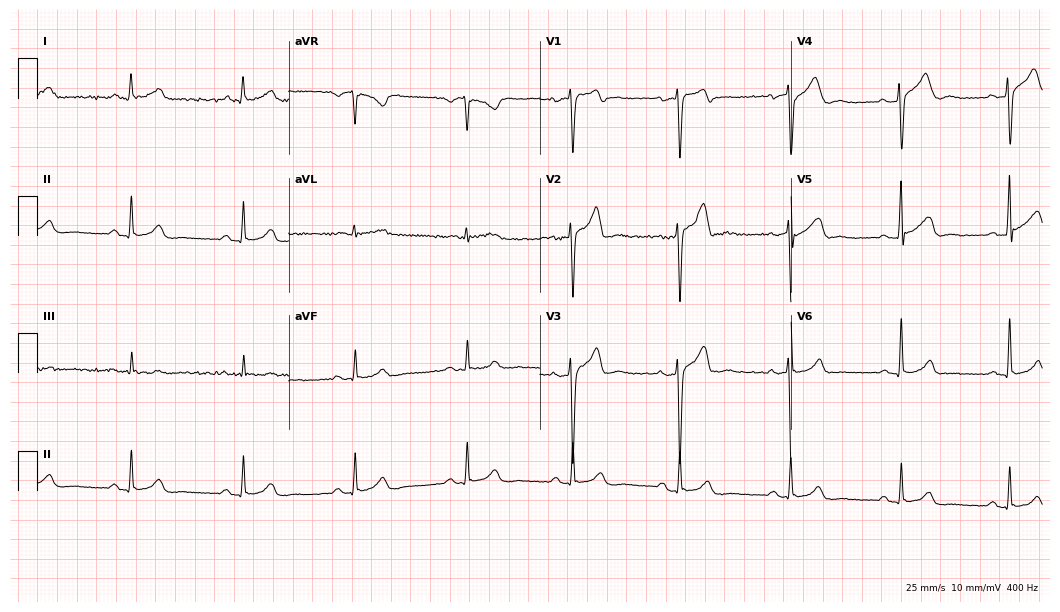
12-lead ECG (10.2-second recording at 400 Hz) from a 51-year-old male. Screened for six findings — first-degree AV block, right bundle branch block (RBBB), left bundle branch block (LBBB), sinus bradycardia, atrial fibrillation (AF), sinus tachycardia — none is recorded. Other findings, if any, are not listed.